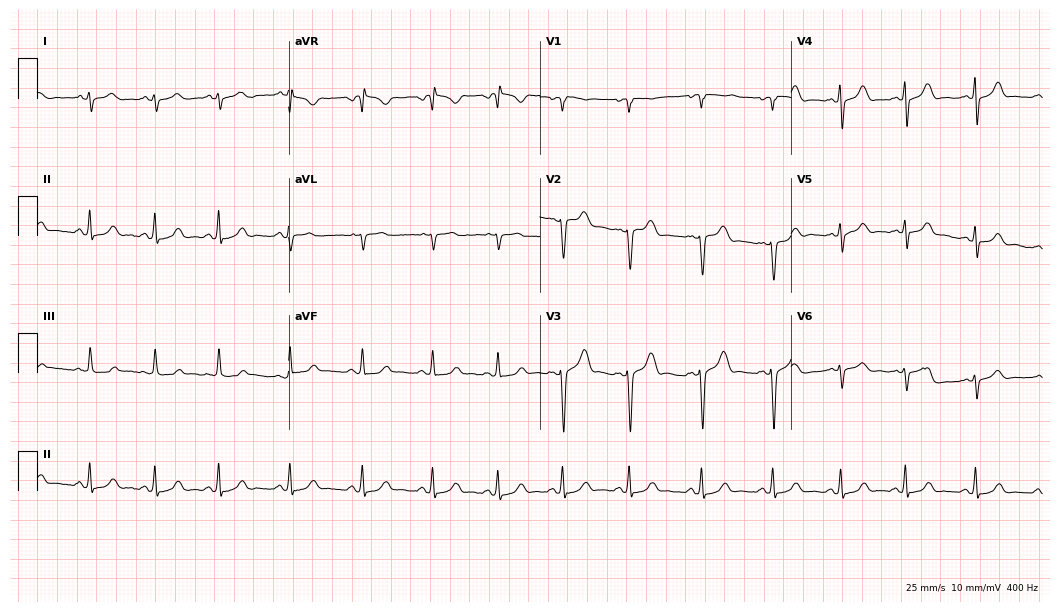
12-lead ECG (10.2-second recording at 400 Hz) from a woman, 27 years old. Screened for six findings — first-degree AV block, right bundle branch block (RBBB), left bundle branch block (LBBB), sinus bradycardia, atrial fibrillation (AF), sinus tachycardia — none is recorded.